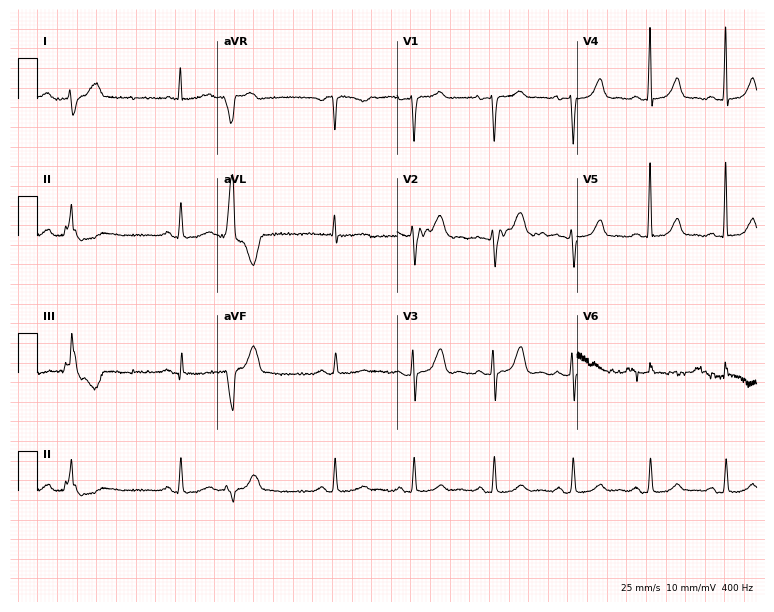
ECG — a 65-year-old female. Screened for six findings — first-degree AV block, right bundle branch block (RBBB), left bundle branch block (LBBB), sinus bradycardia, atrial fibrillation (AF), sinus tachycardia — none is recorded. Only these six findings were labelled.